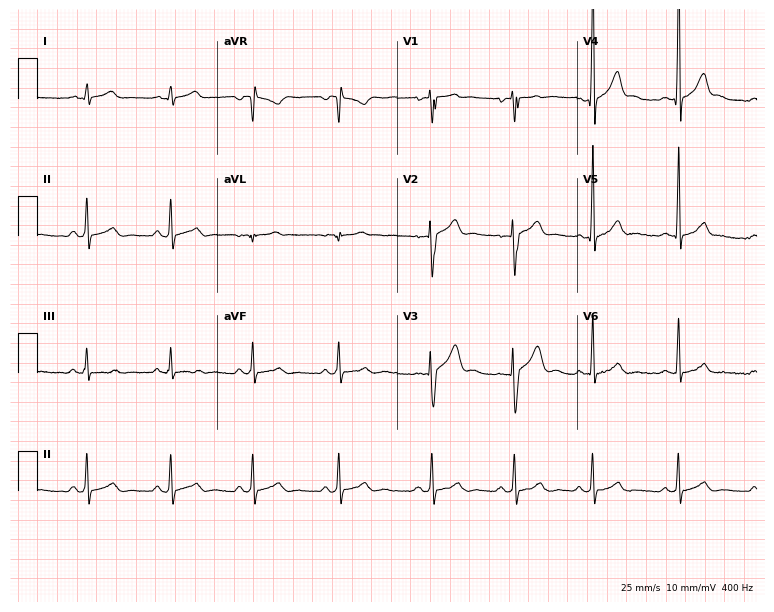
Resting 12-lead electrocardiogram (7.3-second recording at 400 Hz). Patient: a male, 26 years old. None of these six findings is recorded: first-degree AV block, right bundle branch block, left bundle branch block, sinus bradycardia, atrial fibrillation, sinus tachycardia.